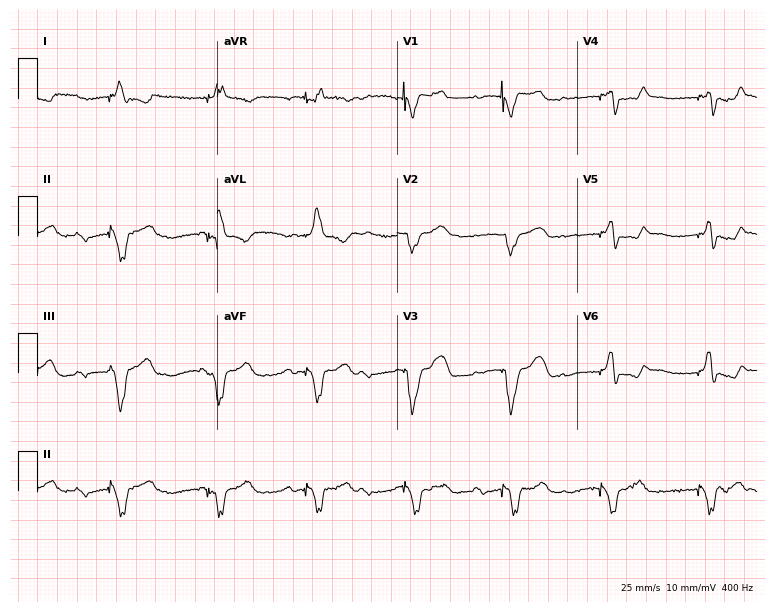
Electrocardiogram (7.3-second recording at 400 Hz), a 70-year-old male patient. Of the six screened findings (first-degree AV block, right bundle branch block (RBBB), left bundle branch block (LBBB), sinus bradycardia, atrial fibrillation (AF), sinus tachycardia), none is recorded.